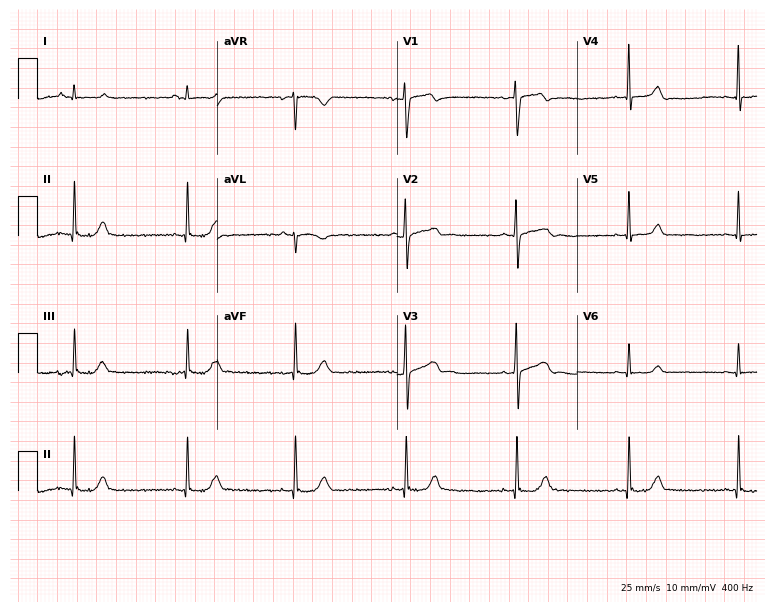
Standard 12-lead ECG recorded from a 36-year-old man. Read as a normal ECG.